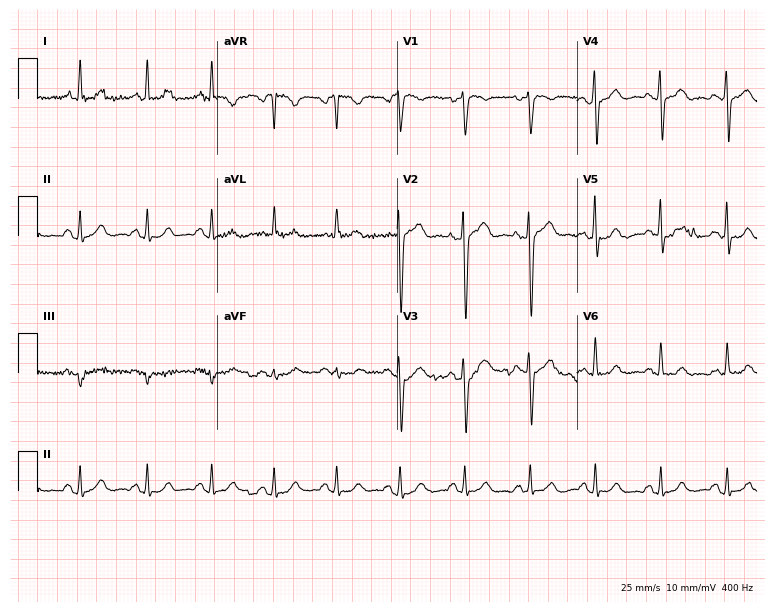
Standard 12-lead ECG recorded from a 59-year-old male. Read as a normal ECG.